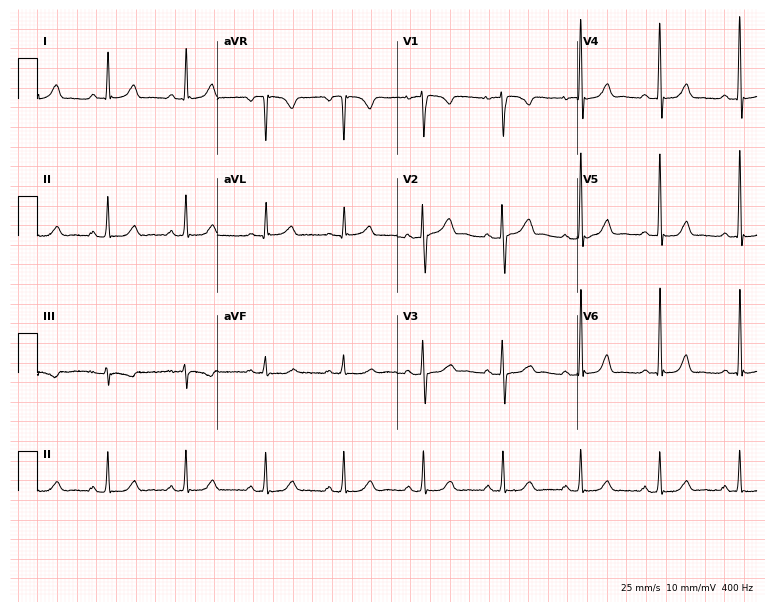
Resting 12-lead electrocardiogram (7.3-second recording at 400 Hz). Patient: a 44-year-old woman. Read as a normal ECG.